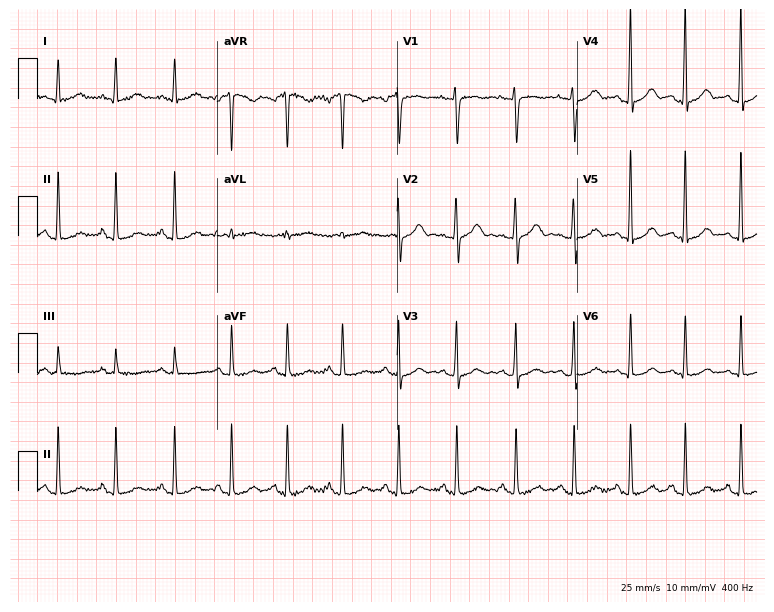
ECG (7.3-second recording at 400 Hz) — a 28-year-old female. Findings include sinus tachycardia (a sinus rate of 100 beats per minute or more).